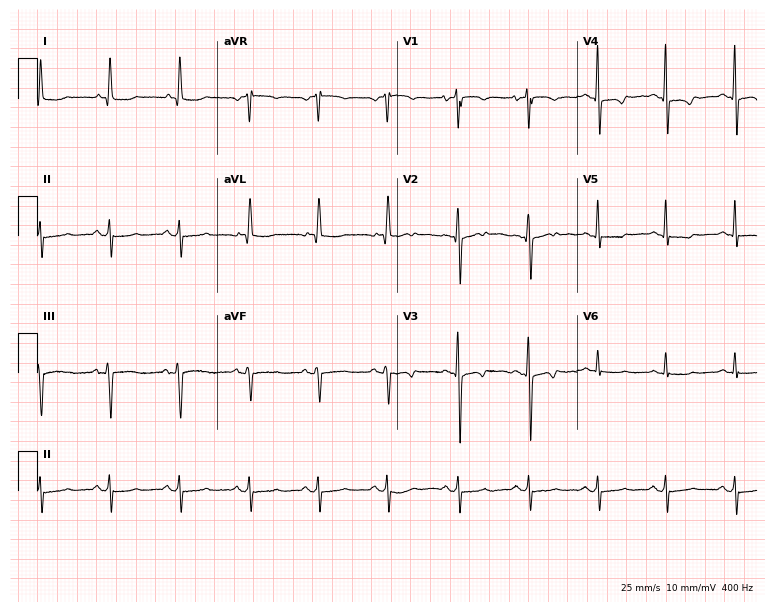
12-lead ECG from a female, 73 years old (7.3-second recording at 400 Hz). No first-degree AV block, right bundle branch block, left bundle branch block, sinus bradycardia, atrial fibrillation or sinus tachycardia recorded for this tracing.